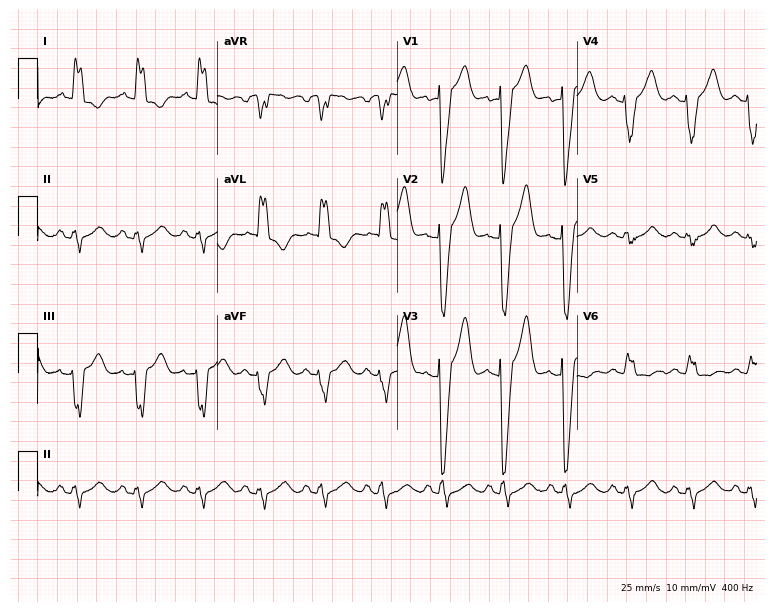
Resting 12-lead electrocardiogram. Patient: a 62-year-old female. None of these six findings is recorded: first-degree AV block, right bundle branch block, left bundle branch block, sinus bradycardia, atrial fibrillation, sinus tachycardia.